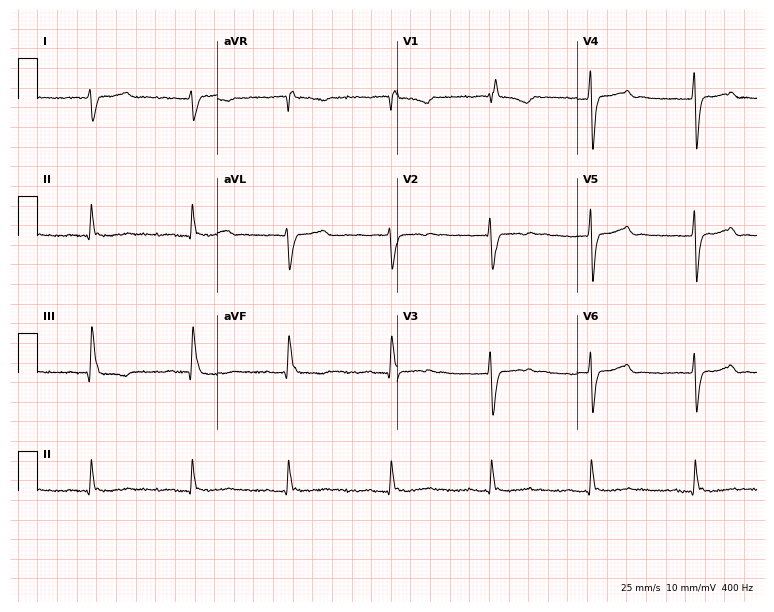
ECG — a 63-year-old woman. Screened for six findings — first-degree AV block, right bundle branch block (RBBB), left bundle branch block (LBBB), sinus bradycardia, atrial fibrillation (AF), sinus tachycardia — none is recorded.